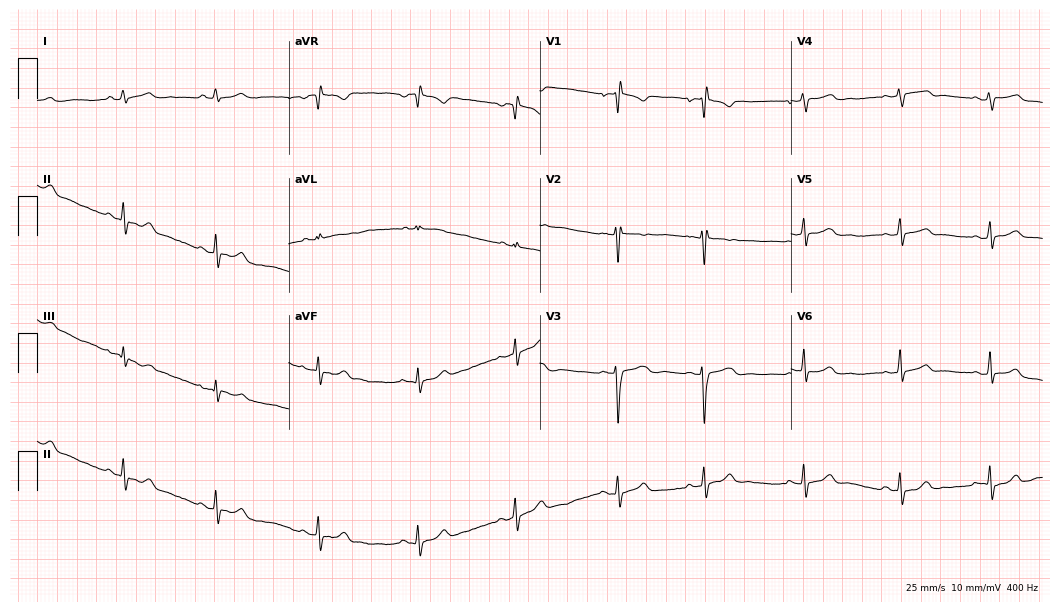
ECG (10.2-second recording at 400 Hz) — an 18-year-old female patient. Screened for six findings — first-degree AV block, right bundle branch block (RBBB), left bundle branch block (LBBB), sinus bradycardia, atrial fibrillation (AF), sinus tachycardia — none is recorded.